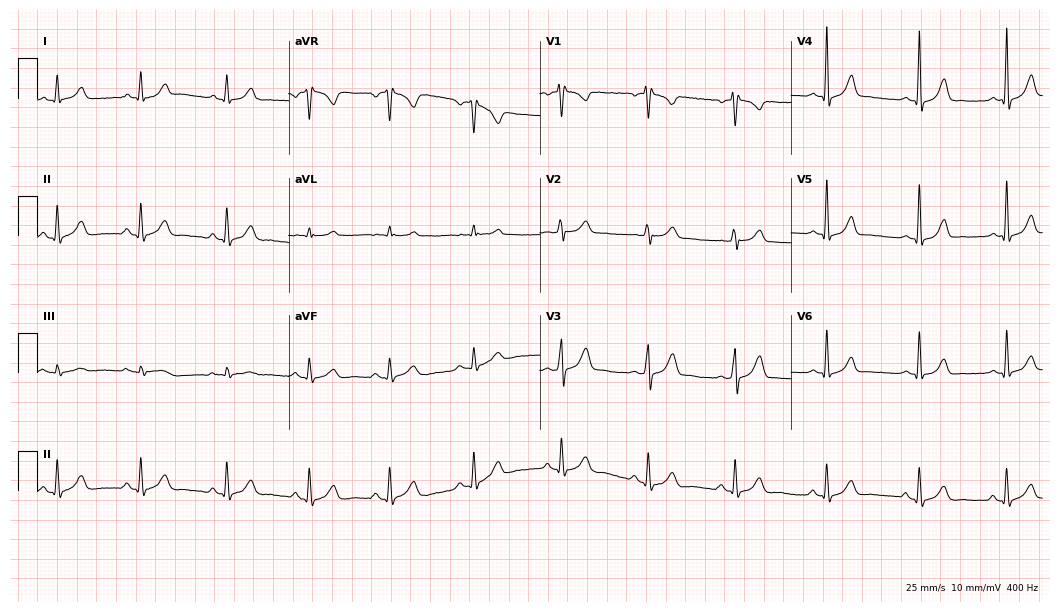
12-lead ECG from a 35-year-old female. Screened for six findings — first-degree AV block, right bundle branch block, left bundle branch block, sinus bradycardia, atrial fibrillation, sinus tachycardia — none is recorded.